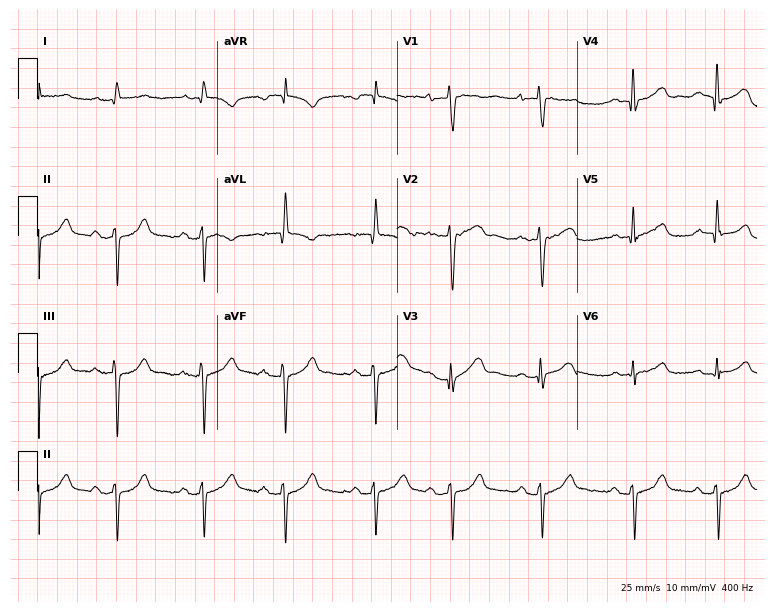
Electrocardiogram, a female patient, 80 years old. Of the six screened findings (first-degree AV block, right bundle branch block, left bundle branch block, sinus bradycardia, atrial fibrillation, sinus tachycardia), none is recorded.